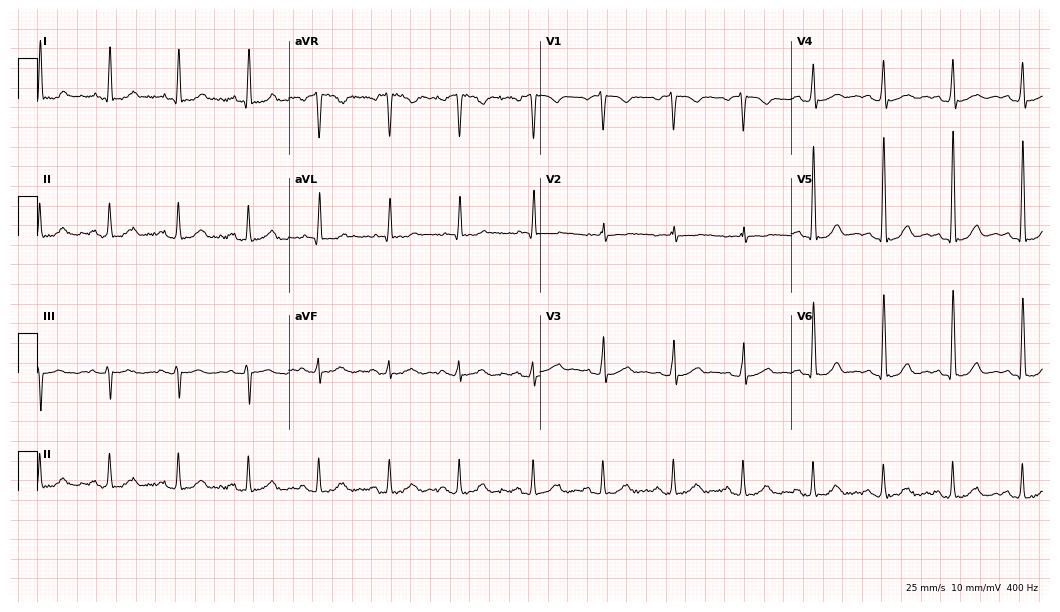
ECG — a female, 69 years old. Labelled as a normal ECG.